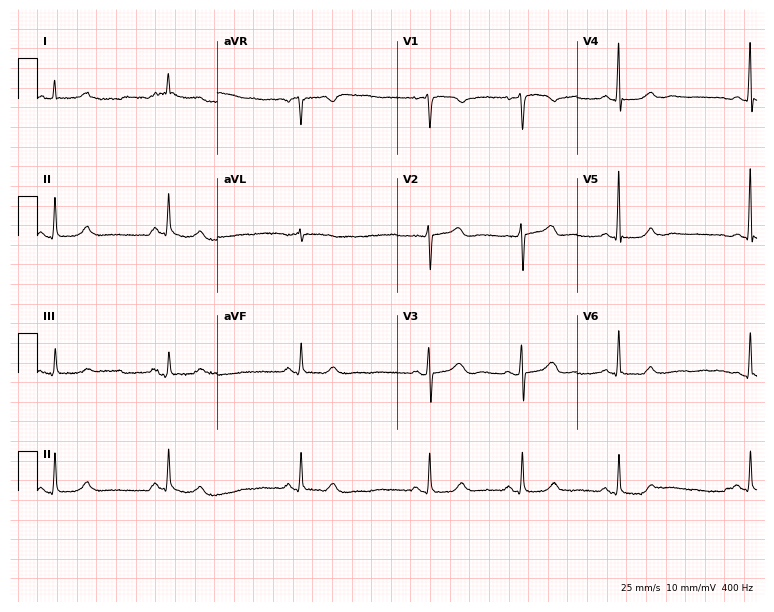
Electrocardiogram, a 76-year-old female. Of the six screened findings (first-degree AV block, right bundle branch block (RBBB), left bundle branch block (LBBB), sinus bradycardia, atrial fibrillation (AF), sinus tachycardia), none is recorded.